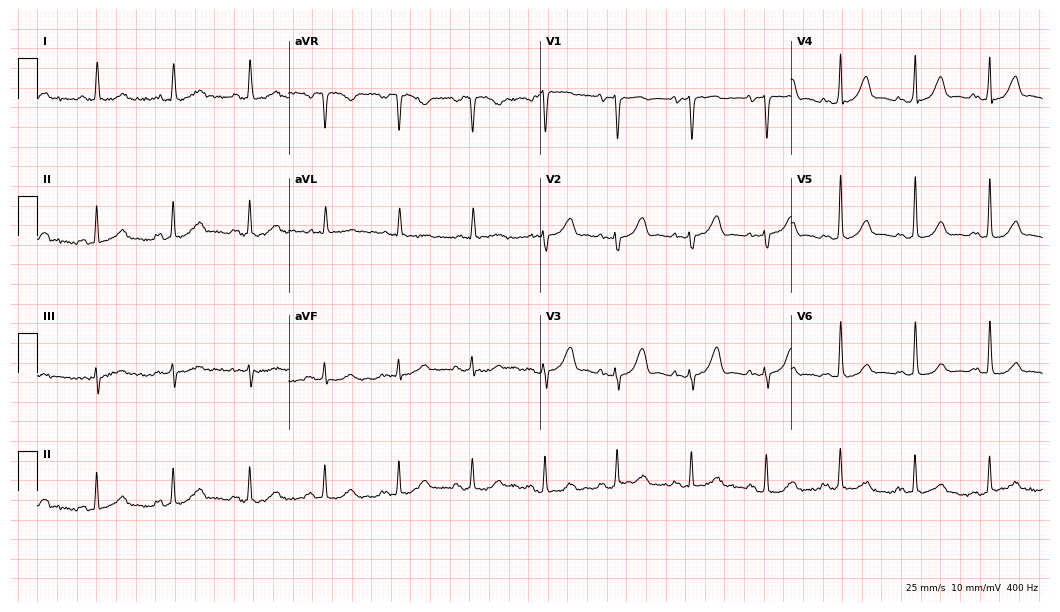
Resting 12-lead electrocardiogram. Patient: a 61-year-old female. Read as a normal ECG.